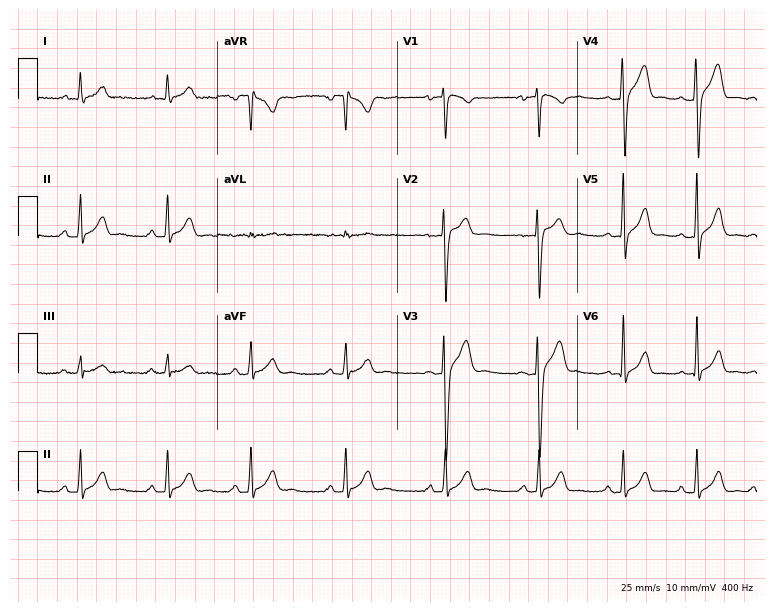
Standard 12-lead ECG recorded from a 21-year-old man (7.3-second recording at 400 Hz). Read as a normal ECG.